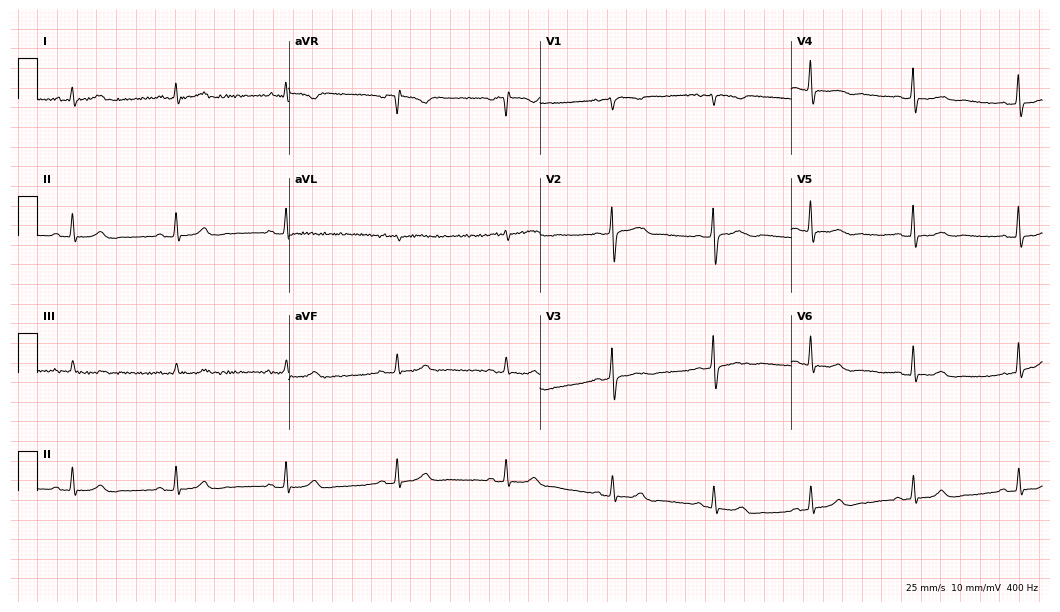
Standard 12-lead ECG recorded from a female patient, 57 years old. Read as a normal ECG.